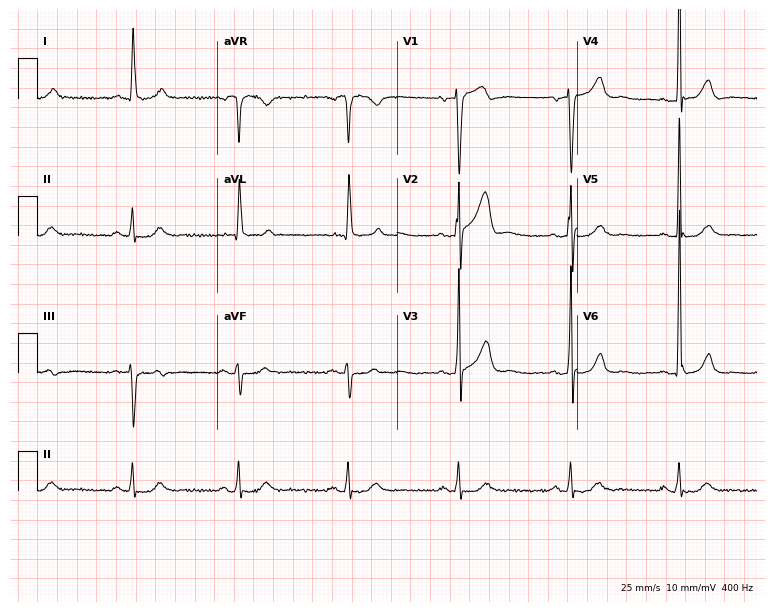
Standard 12-lead ECG recorded from a male patient, 75 years old (7.3-second recording at 400 Hz). None of these six findings is recorded: first-degree AV block, right bundle branch block (RBBB), left bundle branch block (LBBB), sinus bradycardia, atrial fibrillation (AF), sinus tachycardia.